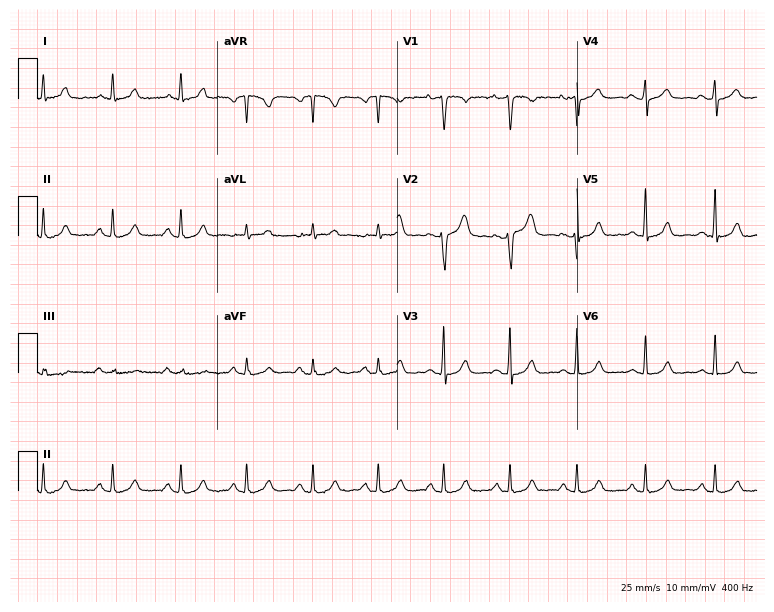
ECG — a 21-year-old female patient. Labelled as a normal ECG.